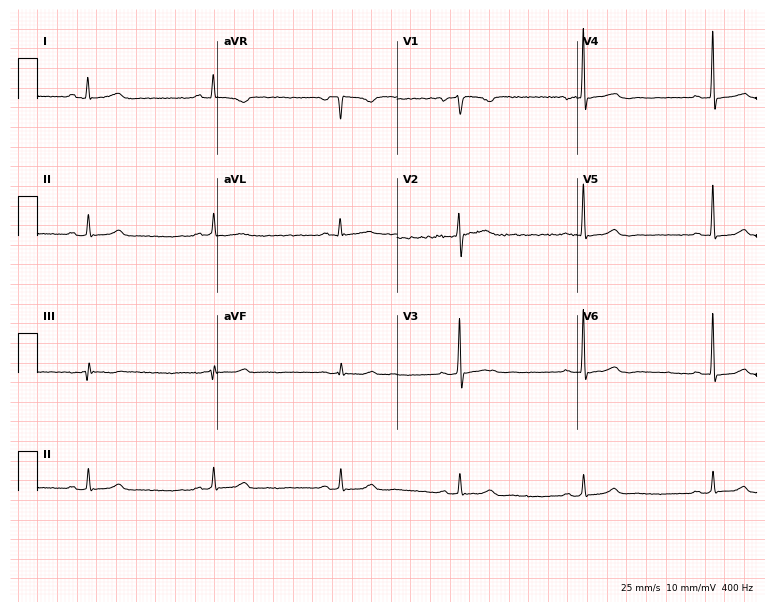
Resting 12-lead electrocardiogram. Patient: a female, 50 years old. The tracing shows sinus bradycardia (a sinus rate of 50 beats per minute or less).